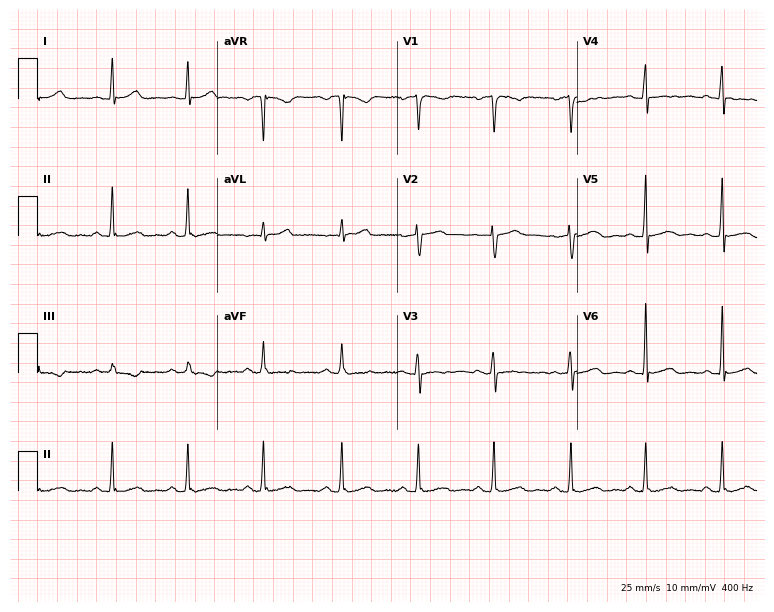
12-lead ECG from a 37-year-old female (7.3-second recording at 400 Hz). No first-degree AV block, right bundle branch block, left bundle branch block, sinus bradycardia, atrial fibrillation or sinus tachycardia recorded for this tracing.